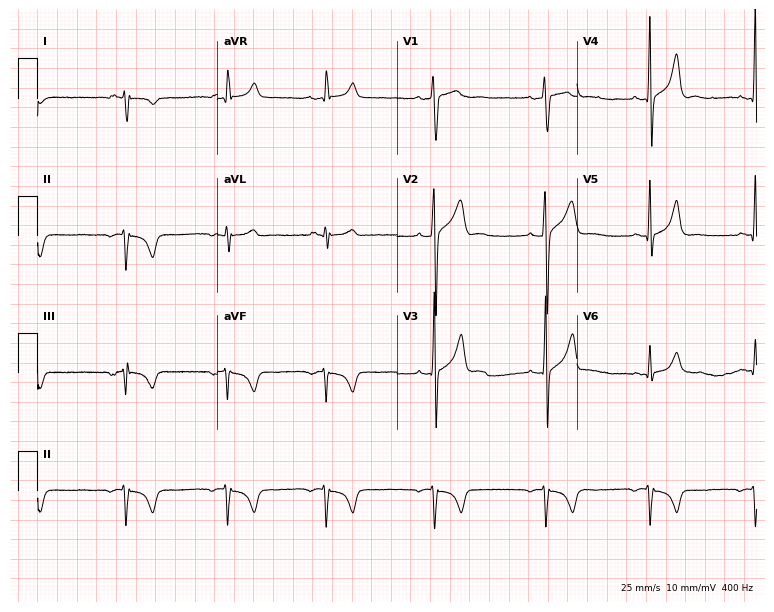
ECG — a man, 29 years old. Screened for six findings — first-degree AV block, right bundle branch block, left bundle branch block, sinus bradycardia, atrial fibrillation, sinus tachycardia — none is recorded.